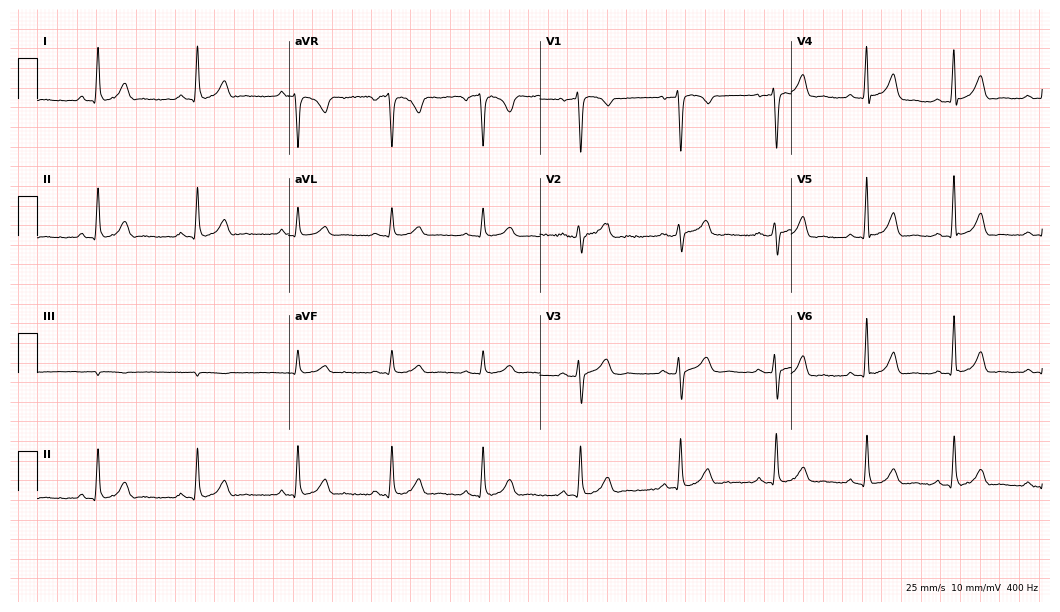
Resting 12-lead electrocardiogram. Patient: a female, 41 years old. Read as a normal ECG.